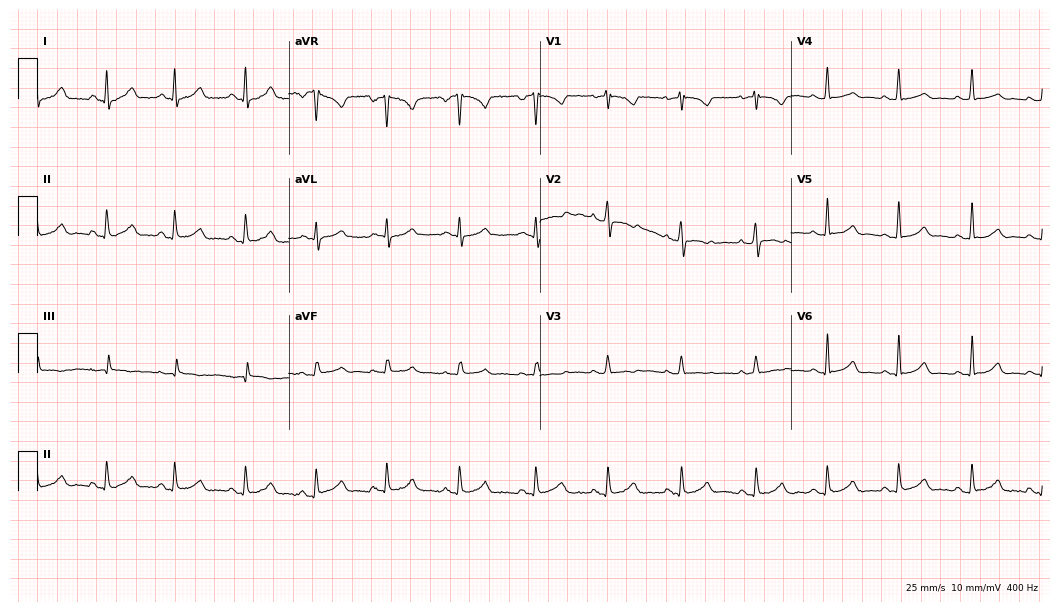
12-lead ECG from a 32-year-old female patient. No first-degree AV block, right bundle branch block, left bundle branch block, sinus bradycardia, atrial fibrillation or sinus tachycardia recorded for this tracing.